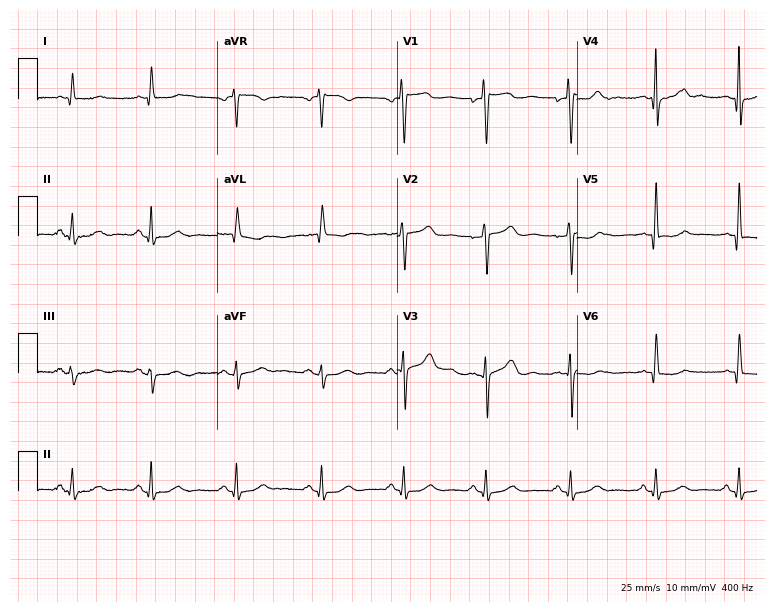
12-lead ECG from a male, 50 years old (7.3-second recording at 400 Hz). No first-degree AV block, right bundle branch block, left bundle branch block, sinus bradycardia, atrial fibrillation or sinus tachycardia recorded for this tracing.